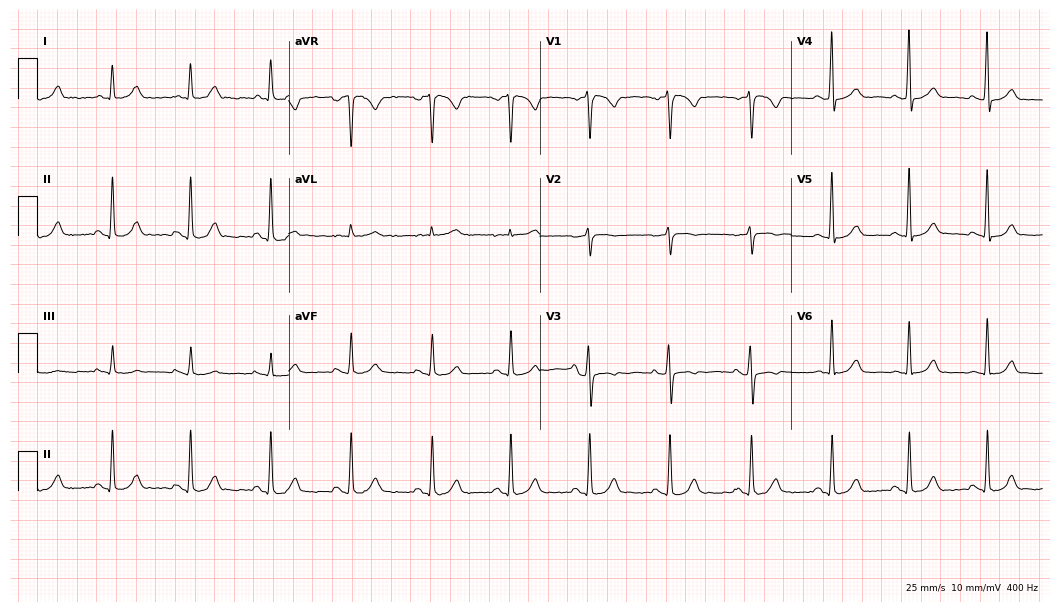
Electrocardiogram, a woman, 49 years old. Overall reading on record: normal ECG.